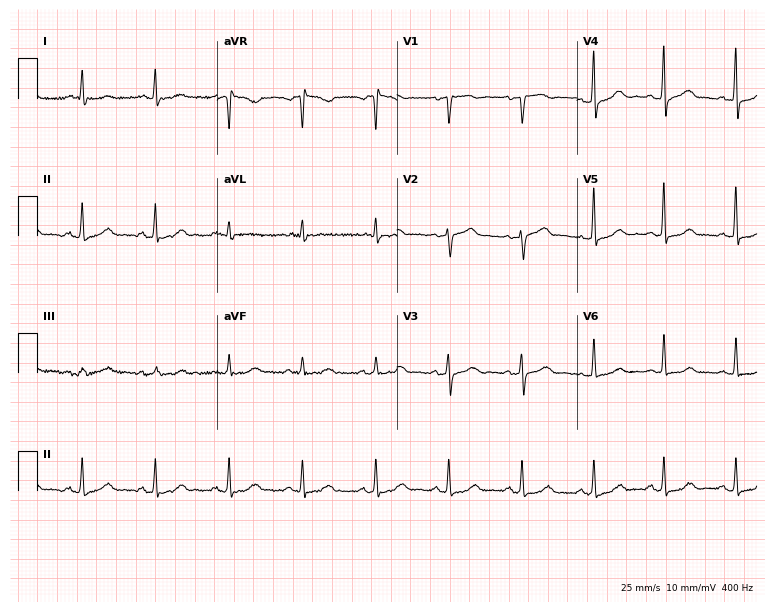
Standard 12-lead ECG recorded from a 63-year-old female patient (7.3-second recording at 400 Hz). Read as a normal ECG.